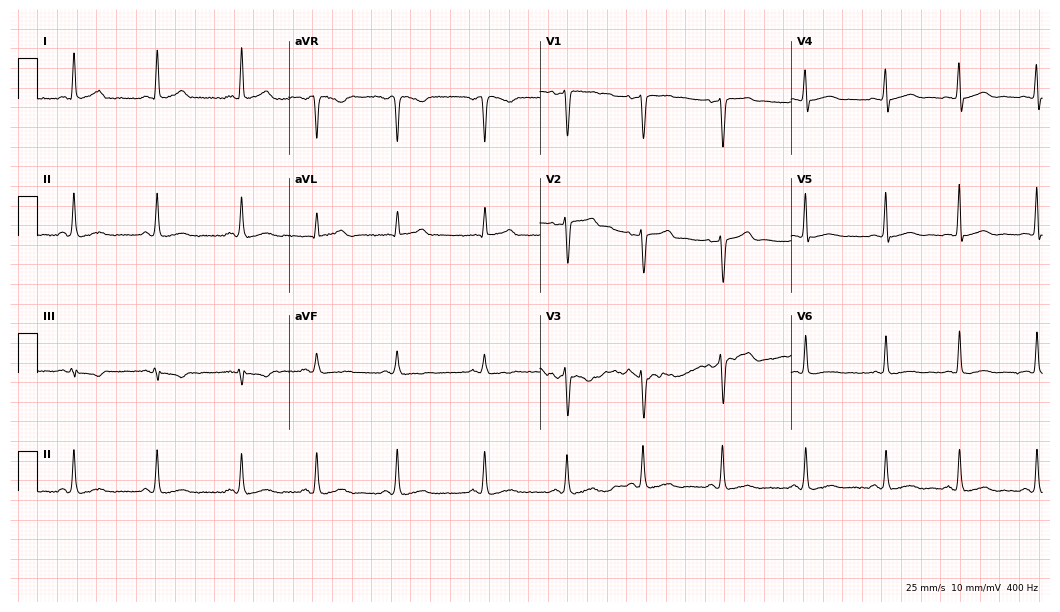
ECG (10.2-second recording at 400 Hz) — a 42-year-old female patient. Screened for six findings — first-degree AV block, right bundle branch block, left bundle branch block, sinus bradycardia, atrial fibrillation, sinus tachycardia — none is recorded. Other findings, if any, are not listed.